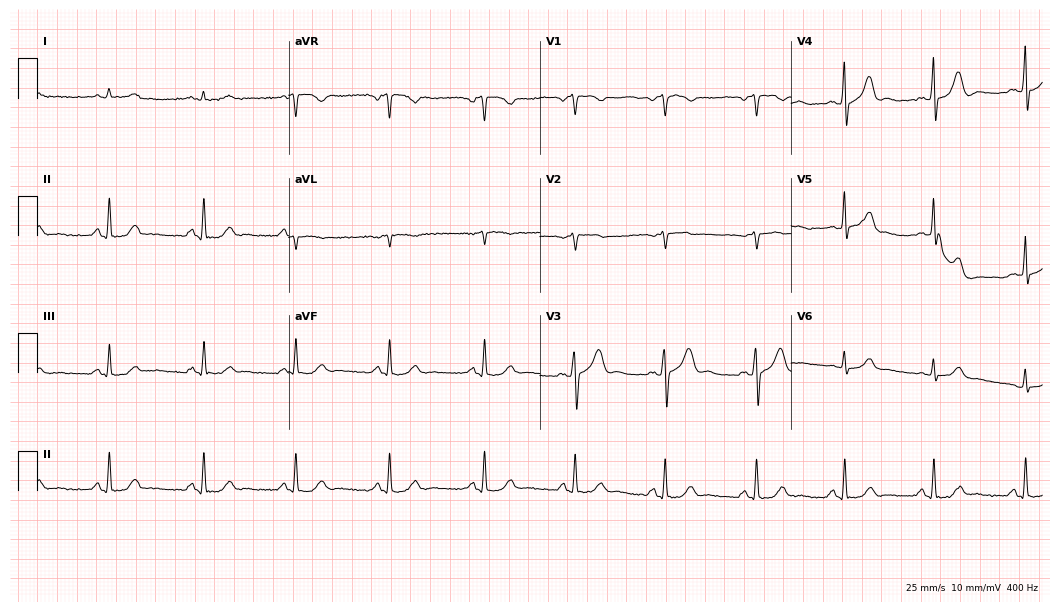
Resting 12-lead electrocardiogram (10.2-second recording at 400 Hz). Patient: a 61-year-old male. Read as a normal ECG.